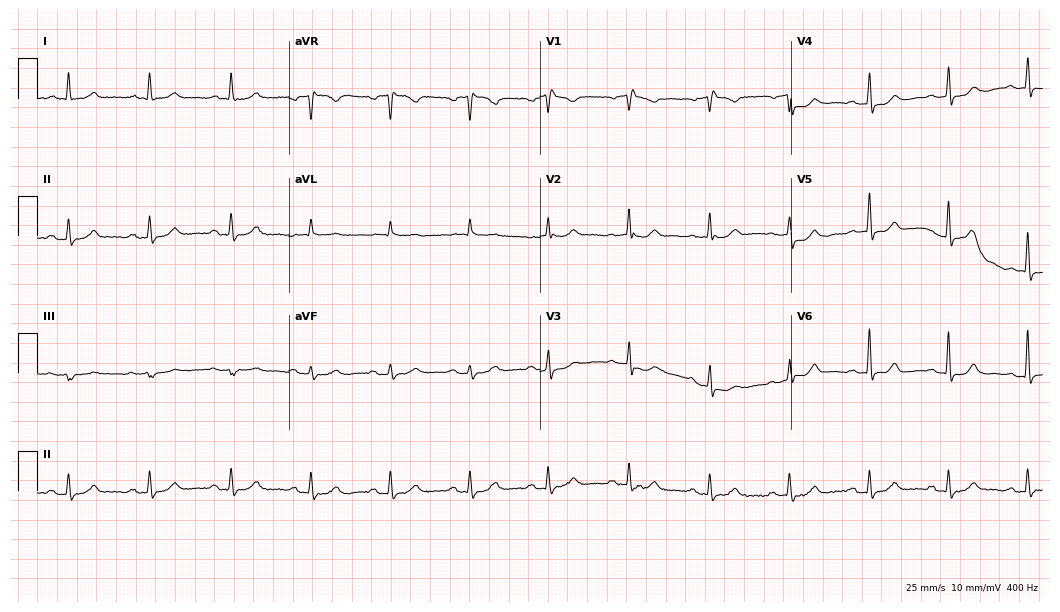
12-lead ECG from a female, 81 years old (10.2-second recording at 400 Hz). No first-degree AV block, right bundle branch block (RBBB), left bundle branch block (LBBB), sinus bradycardia, atrial fibrillation (AF) or sinus tachycardia recorded for this tracing.